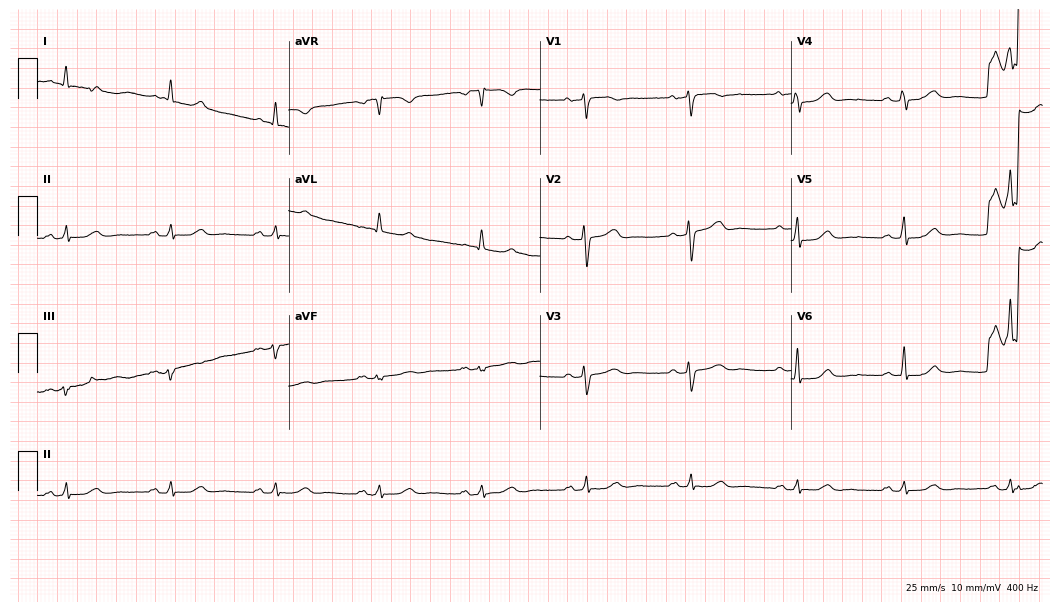
Resting 12-lead electrocardiogram. Patient: a female, 74 years old. Read as a normal ECG.